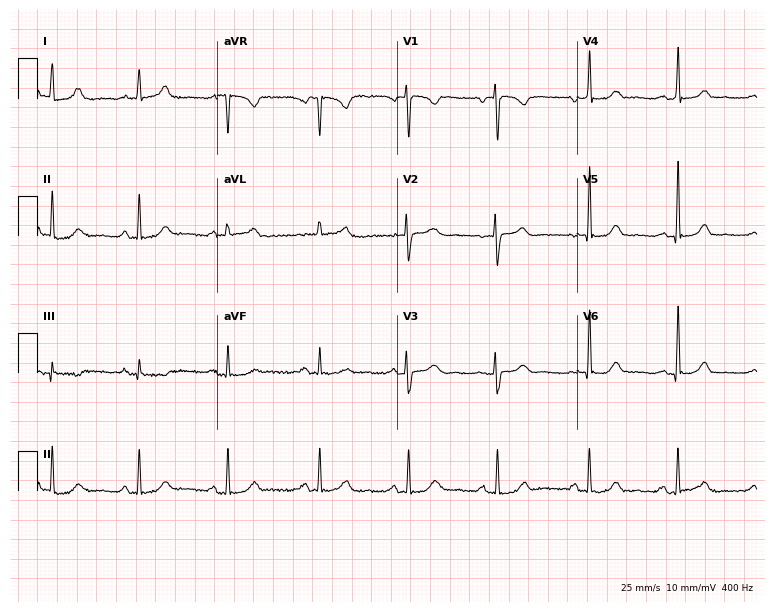
Electrocardiogram (7.3-second recording at 400 Hz), a 45-year-old female. Overall reading on record: normal ECG.